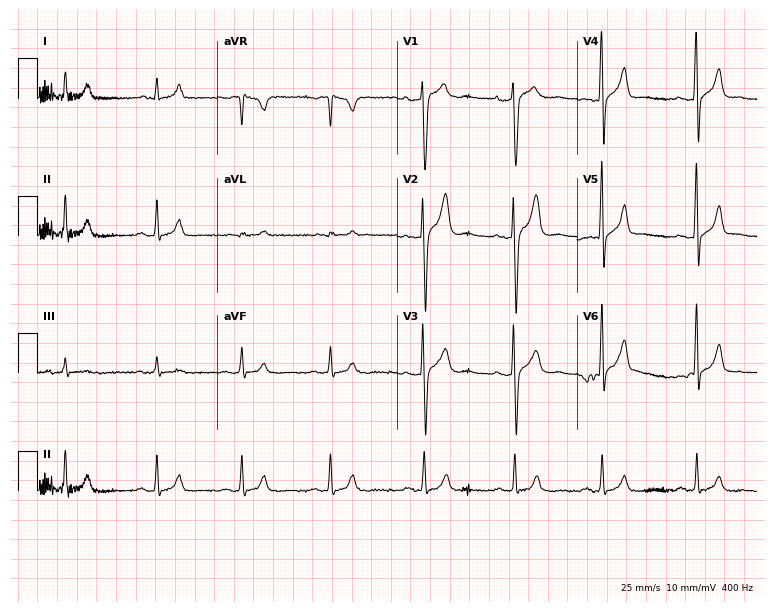
12-lead ECG from a 29-year-old male patient (7.3-second recording at 400 Hz). Recorded interpretation: within normal limits.